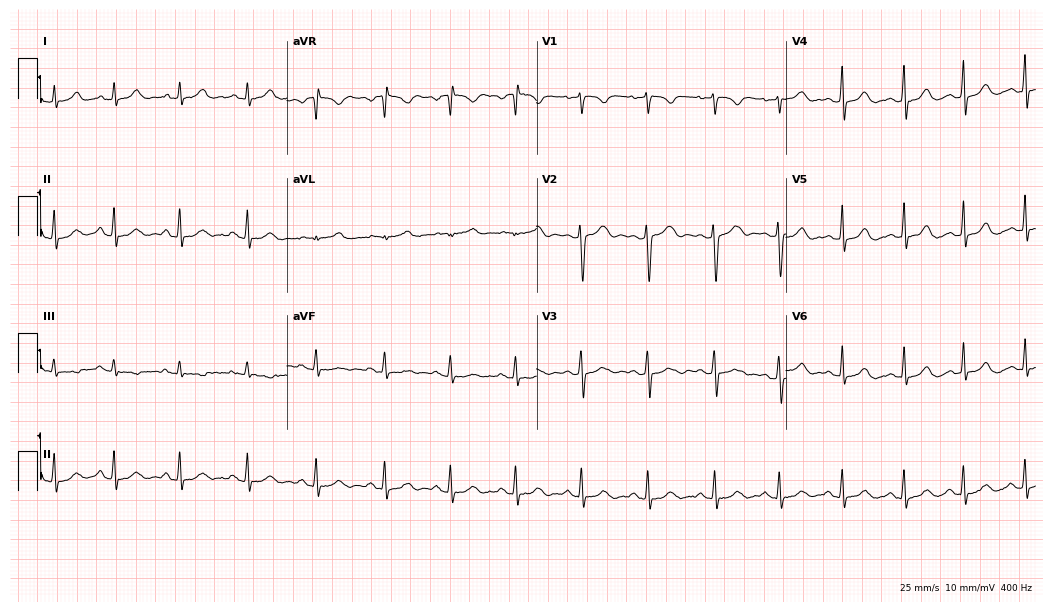
12-lead ECG from a female patient, 22 years old (10.2-second recording at 400 Hz). Recorded interpretation: within normal limits.